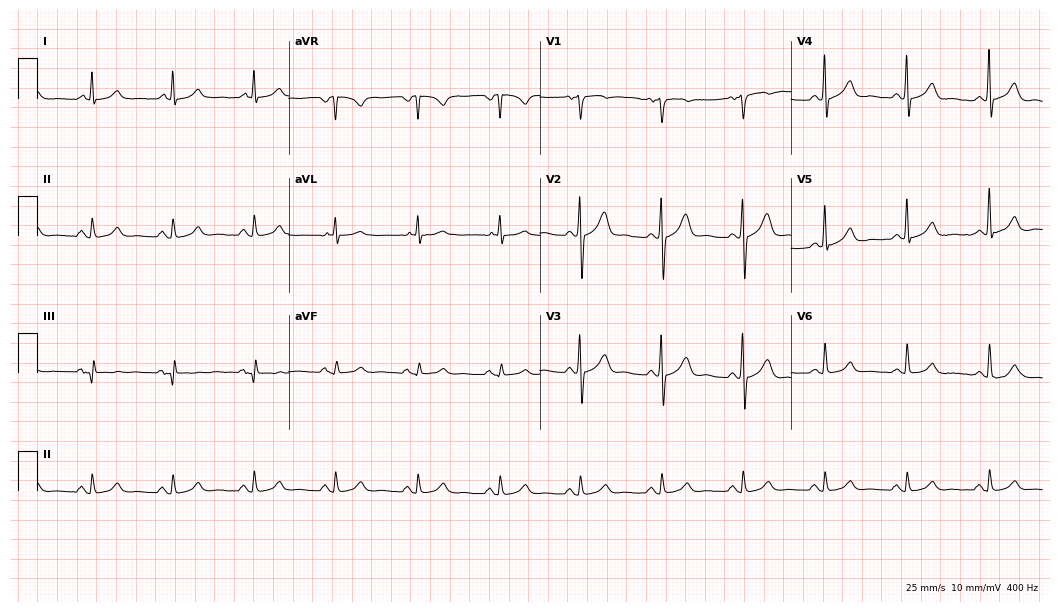
12-lead ECG (10.2-second recording at 400 Hz) from a male, 71 years old. Screened for six findings — first-degree AV block, right bundle branch block, left bundle branch block, sinus bradycardia, atrial fibrillation, sinus tachycardia — none is recorded.